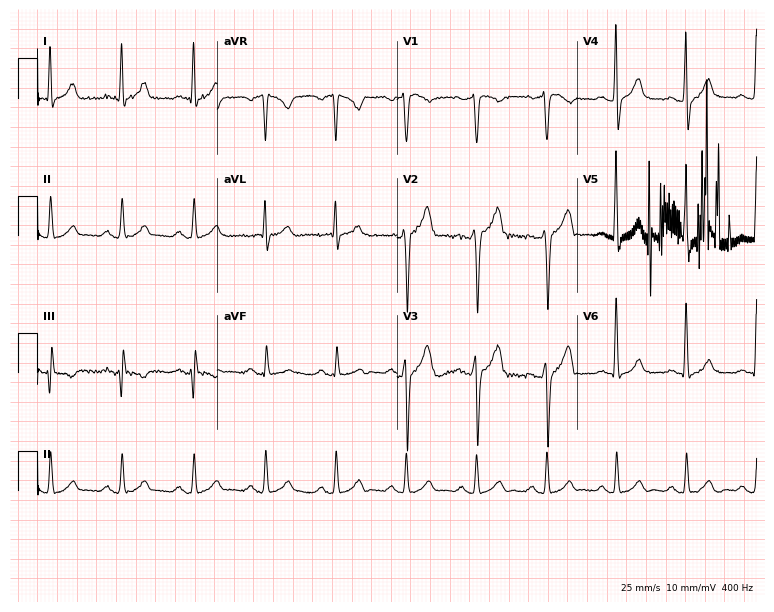
12-lead ECG (7.3-second recording at 400 Hz) from a 48-year-old male. Labelled as a normal ECG.